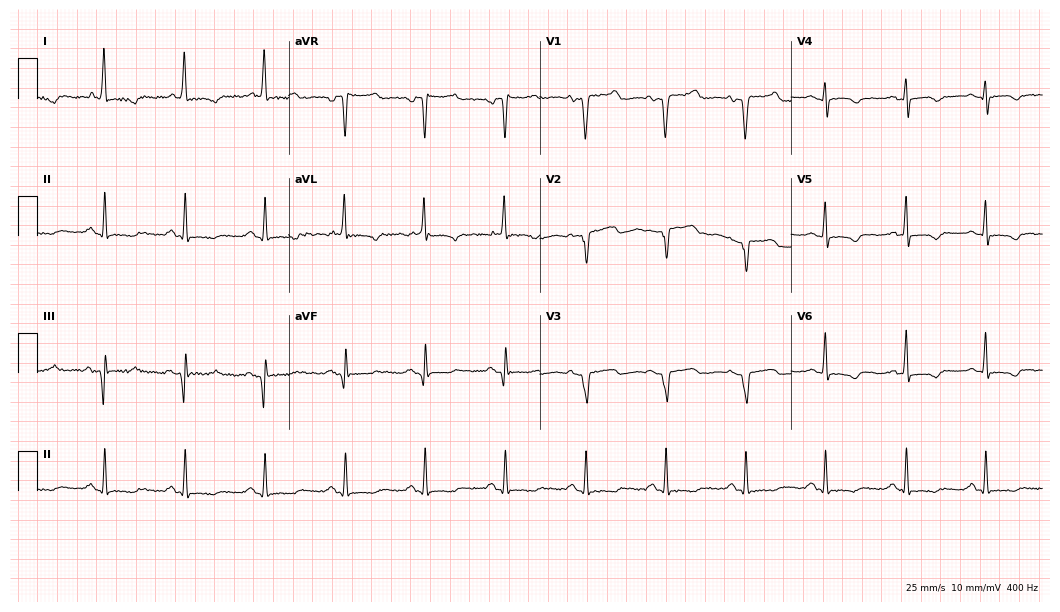
ECG — a 79-year-old female patient. Screened for six findings — first-degree AV block, right bundle branch block (RBBB), left bundle branch block (LBBB), sinus bradycardia, atrial fibrillation (AF), sinus tachycardia — none is recorded.